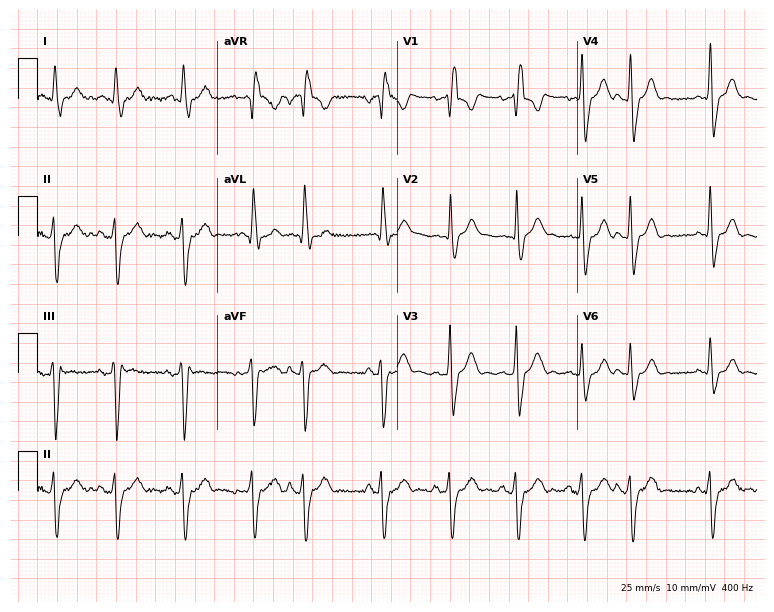
ECG (7.3-second recording at 400 Hz) — a male patient, 69 years old. Findings include right bundle branch block.